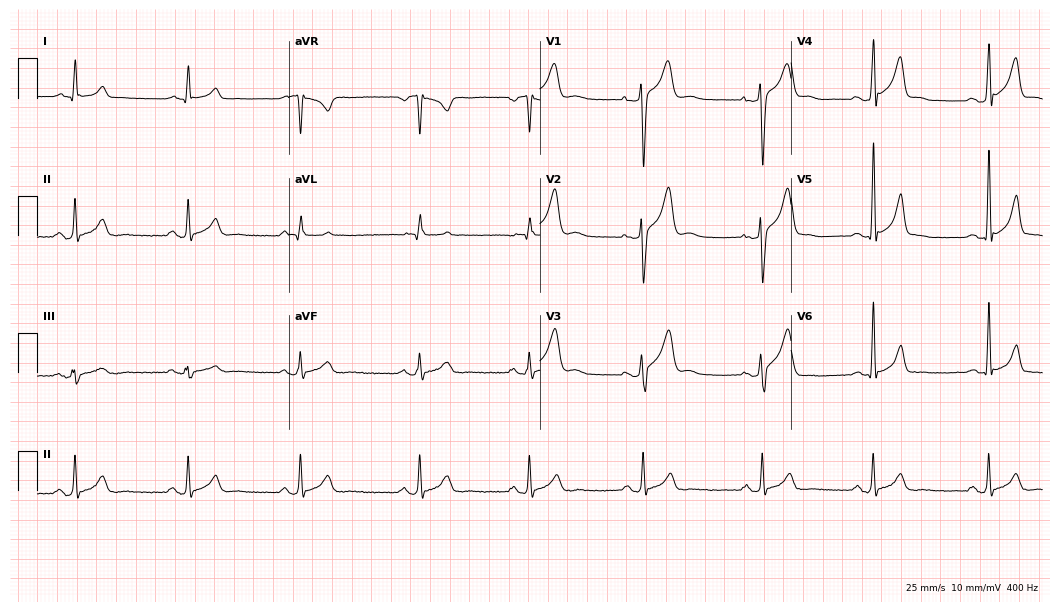
12-lead ECG from a man, 24 years old (10.2-second recording at 400 Hz). Recorded interpretation: within normal limits.